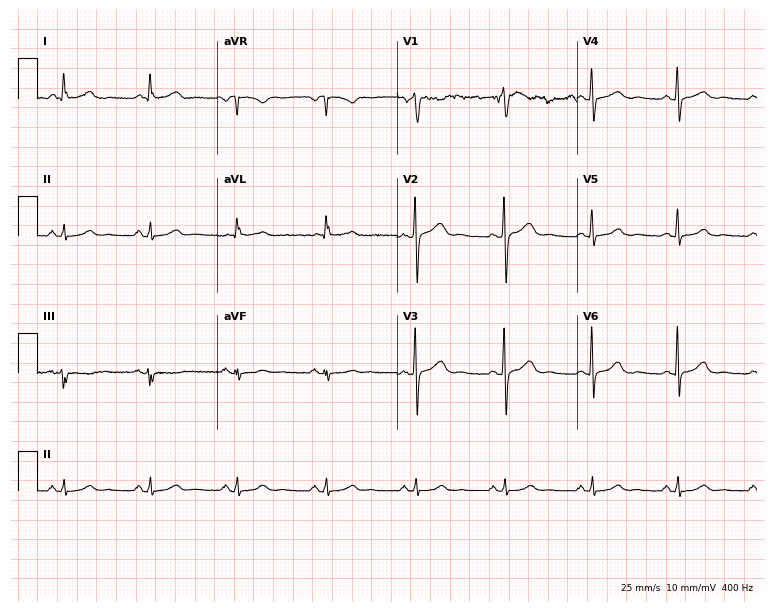
Resting 12-lead electrocardiogram (7.3-second recording at 400 Hz). Patient: a 39-year-old woman. Read as a normal ECG.